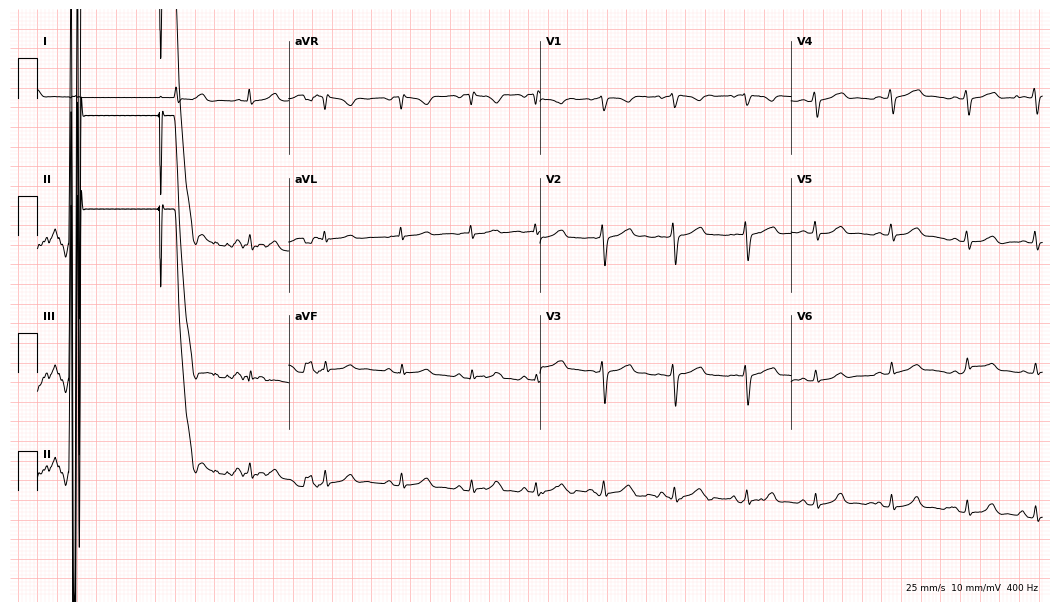
Electrocardiogram, a 25-year-old female. Of the six screened findings (first-degree AV block, right bundle branch block (RBBB), left bundle branch block (LBBB), sinus bradycardia, atrial fibrillation (AF), sinus tachycardia), none is recorded. Only these six findings were labelled.